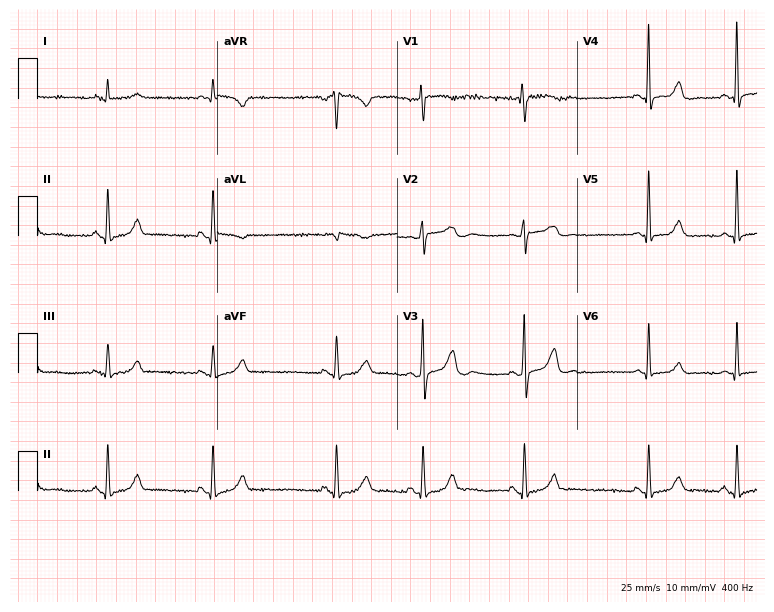
Electrocardiogram (7.3-second recording at 400 Hz), a female patient, 59 years old. Of the six screened findings (first-degree AV block, right bundle branch block (RBBB), left bundle branch block (LBBB), sinus bradycardia, atrial fibrillation (AF), sinus tachycardia), none is recorded. Findings outside these six are not listed.